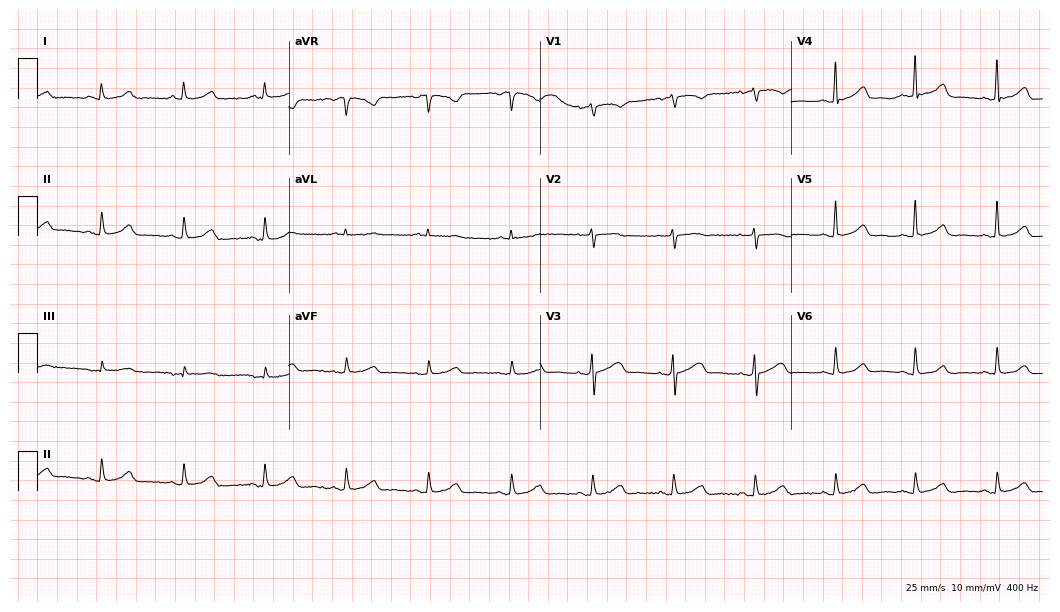
12-lead ECG from a female patient, 59 years old (10.2-second recording at 400 Hz). Recorded interpretation: within normal limits.